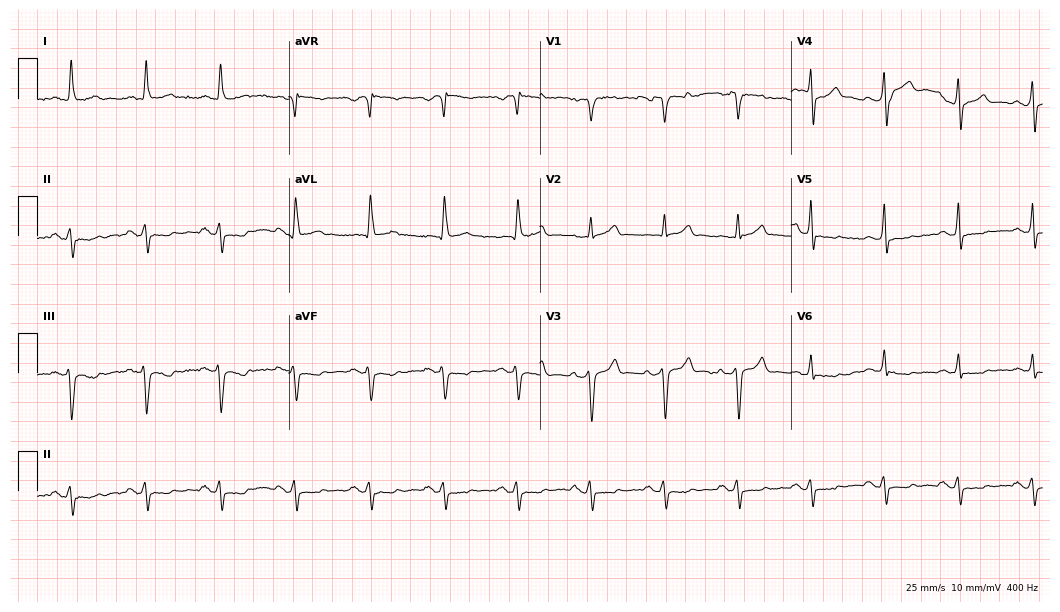
Standard 12-lead ECG recorded from a 73-year-old male patient. None of these six findings is recorded: first-degree AV block, right bundle branch block (RBBB), left bundle branch block (LBBB), sinus bradycardia, atrial fibrillation (AF), sinus tachycardia. Only these six findings were labelled.